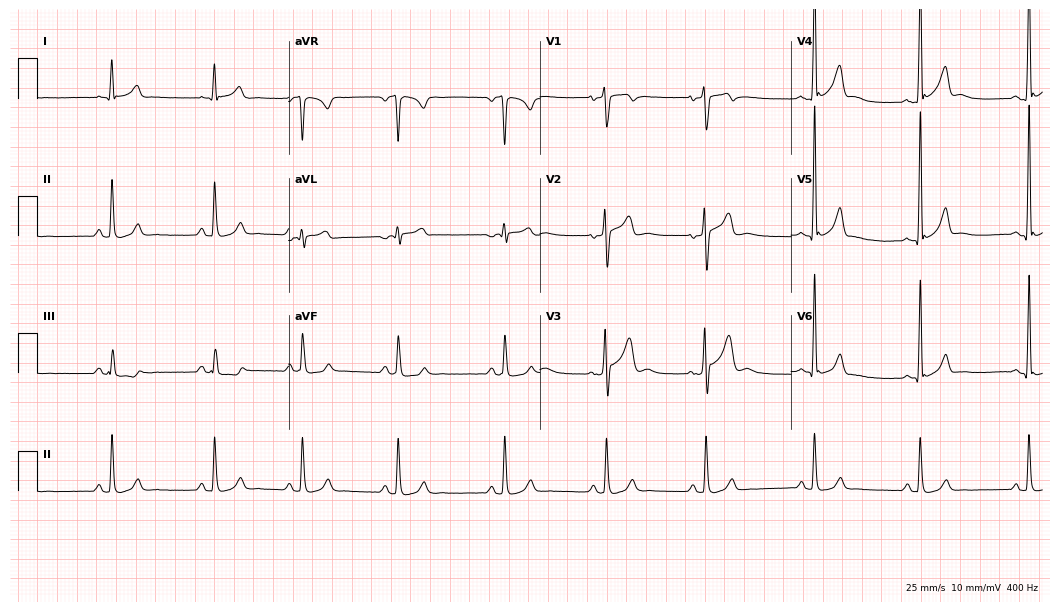
ECG (10.2-second recording at 400 Hz) — a male patient, 19 years old. Labelled as a normal ECG.